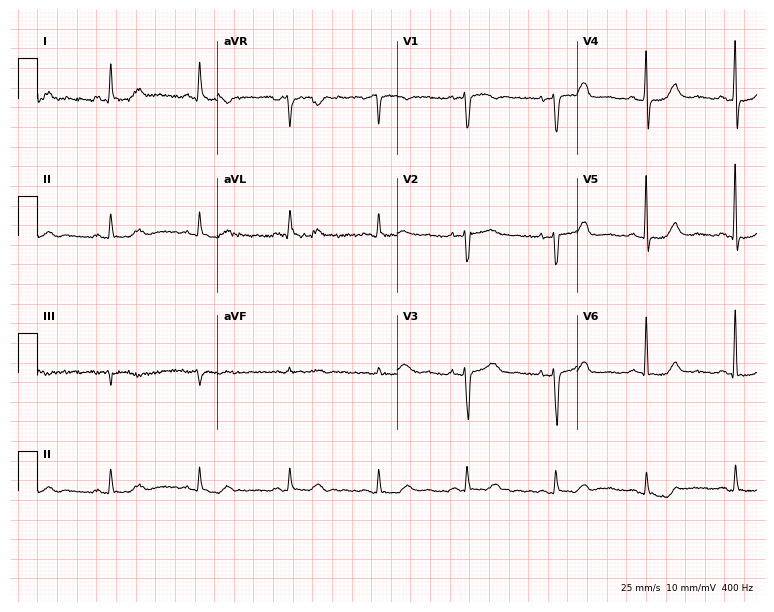
Resting 12-lead electrocardiogram. Patient: a 67-year-old female. Read as a normal ECG.